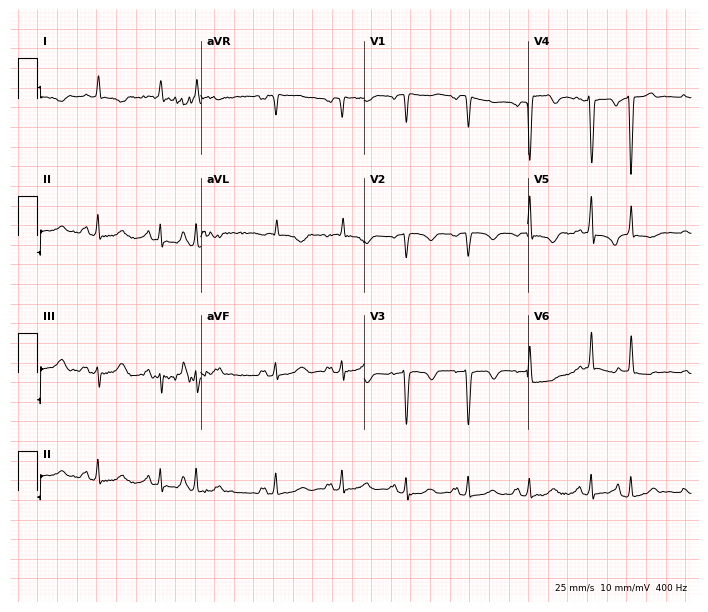
Resting 12-lead electrocardiogram. Patient: a female, 83 years old. None of these six findings is recorded: first-degree AV block, right bundle branch block, left bundle branch block, sinus bradycardia, atrial fibrillation, sinus tachycardia.